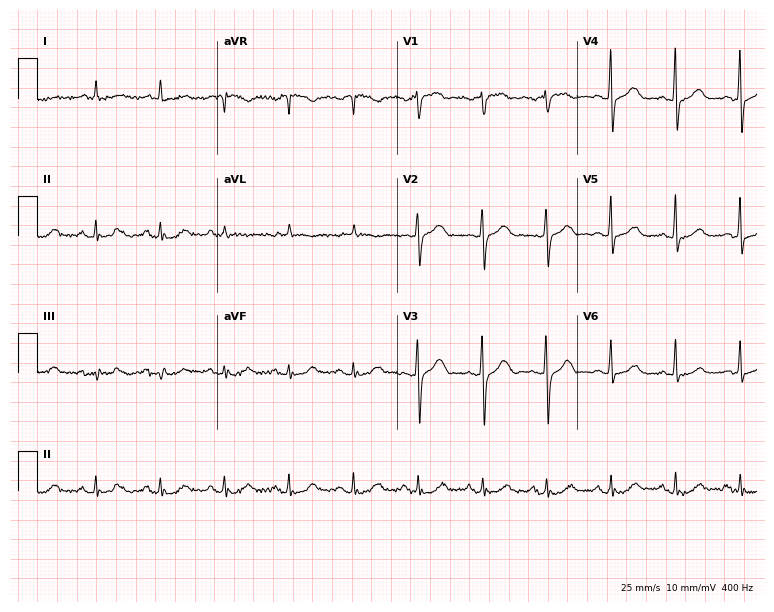
Standard 12-lead ECG recorded from a 75-year-old female. Read as a normal ECG.